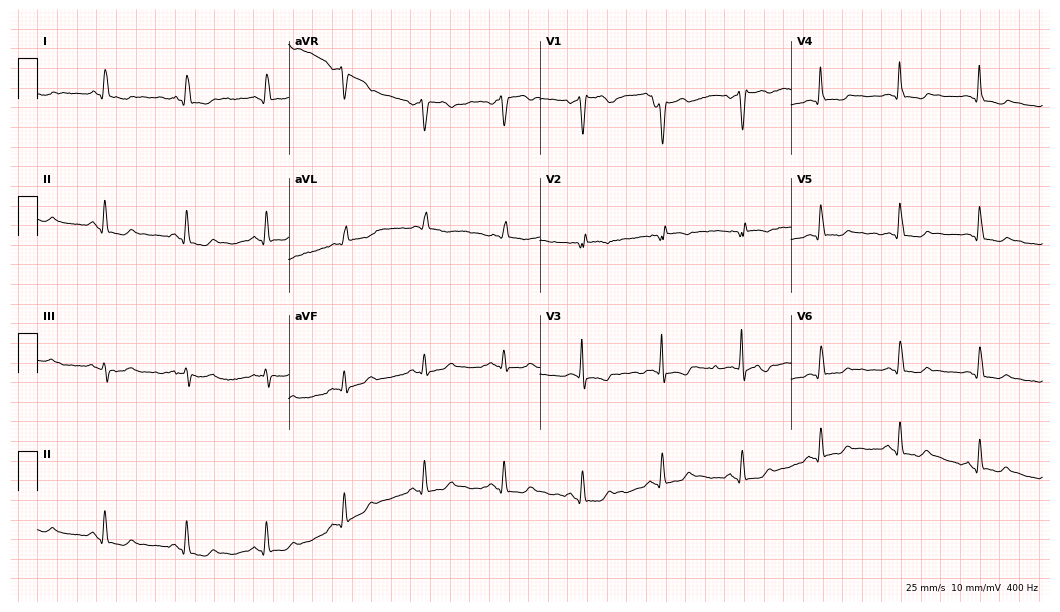
Standard 12-lead ECG recorded from a 57-year-old male (10.2-second recording at 400 Hz). None of these six findings is recorded: first-degree AV block, right bundle branch block (RBBB), left bundle branch block (LBBB), sinus bradycardia, atrial fibrillation (AF), sinus tachycardia. Only these six findings were labelled.